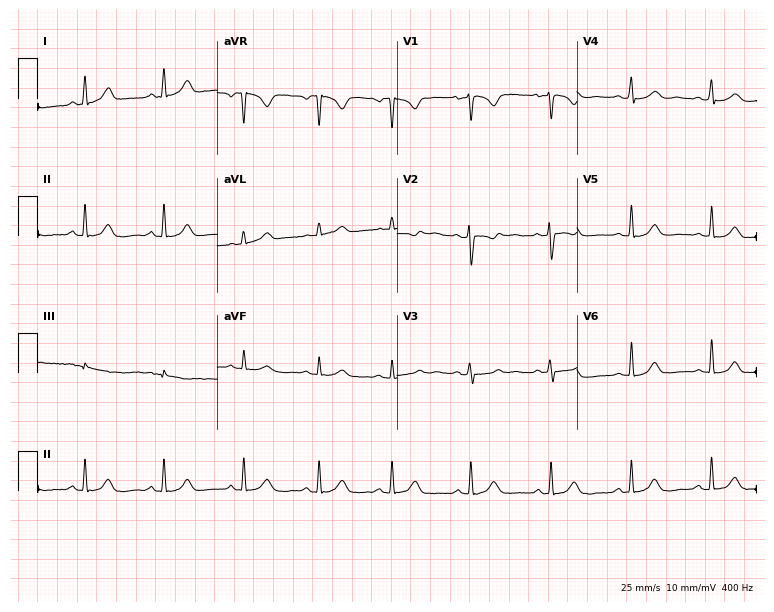
ECG — a 22-year-old woman. Screened for six findings — first-degree AV block, right bundle branch block, left bundle branch block, sinus bradycardia, atrial fibrillation, sinus tachycardia — none is recorded.